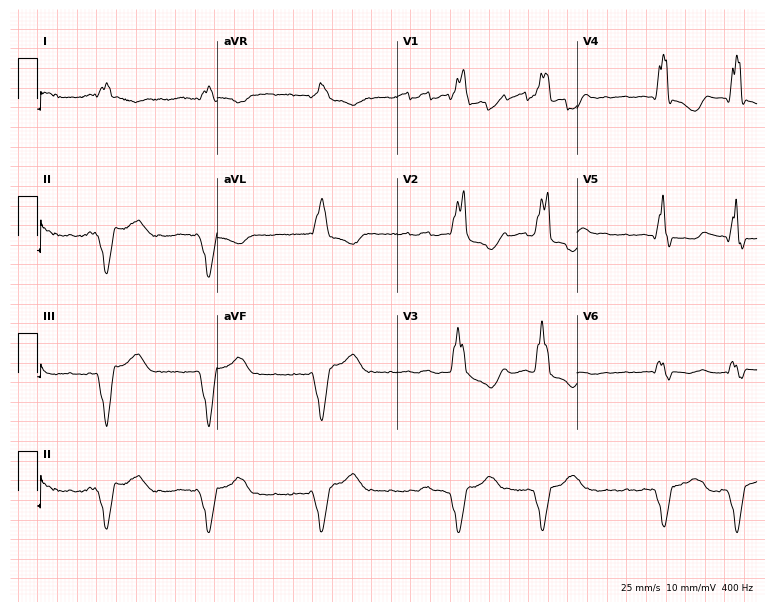
12-lead ECG from a man, 75 years old. Screened for six findings — first-degree AV block, right bundle branch block, left bundle branch block, sinus bradycardia, atrial fibrillation, sinus tachycardia — none is recorded.